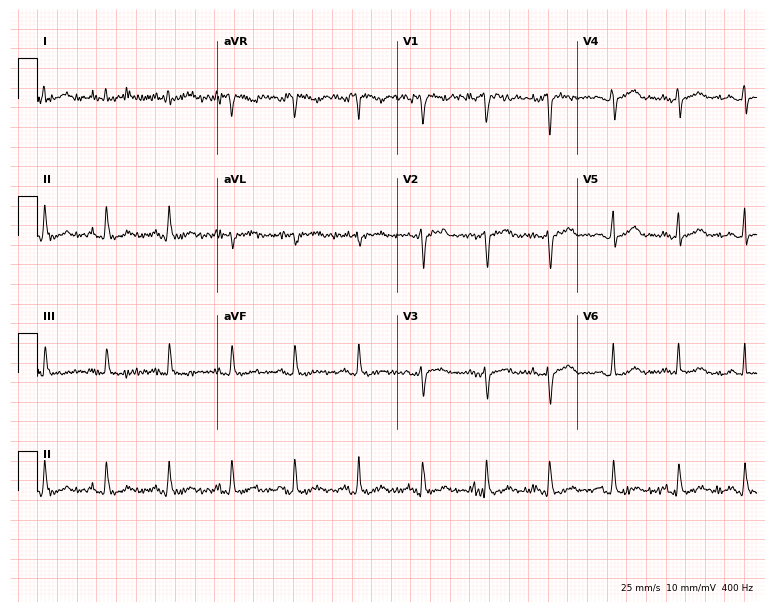
12-lead ECG from a male, 41 years old. Screened for six findings — first-degree AV block, right bundle branch block (RBBB), left bundle branch block (LBBB), sinus bradycardia, atrial fibrillation (AF), sinus tachycardia — none is recorded.